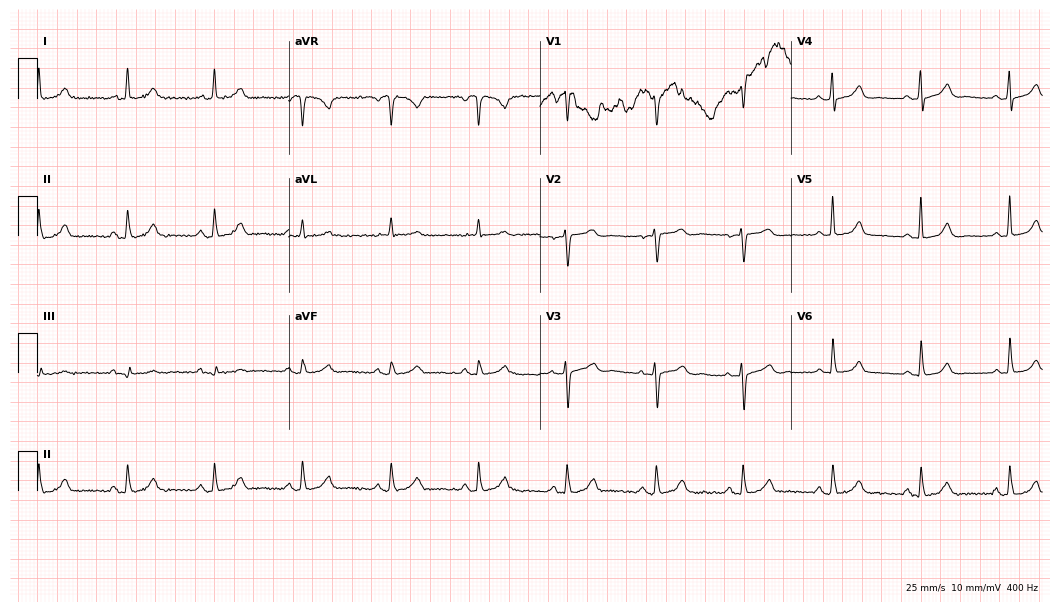
12-lead ECG from a 63-year-old female patient (10.2-second recording at 400 Hz). Recorded interpretation: within normal limits.